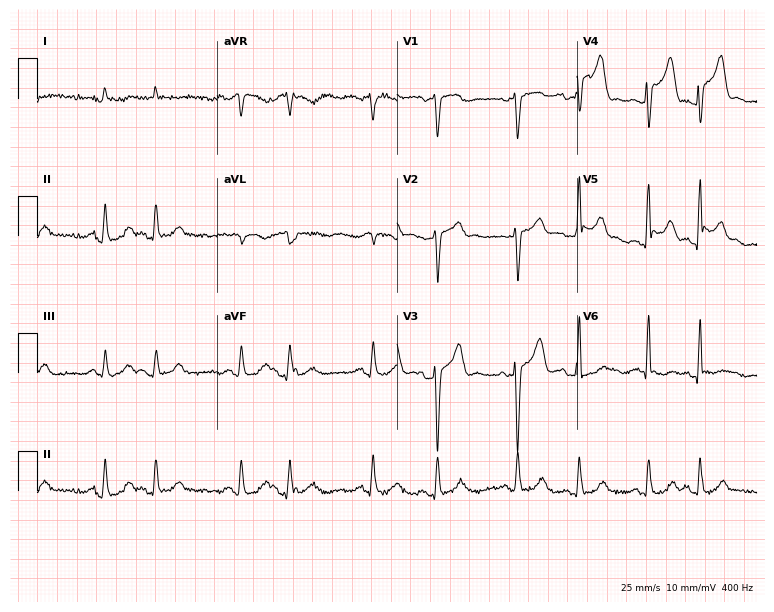
Resting 12-lead electrocardiogram. Patient: a 76-year-old man. None of these six findings is recorded: first-degree AV block, right bundle branch block (RBBB), left bundle branch block (LBBB), sinus bradycardia, atrial fibrillation (AF), sinus tachycardia.